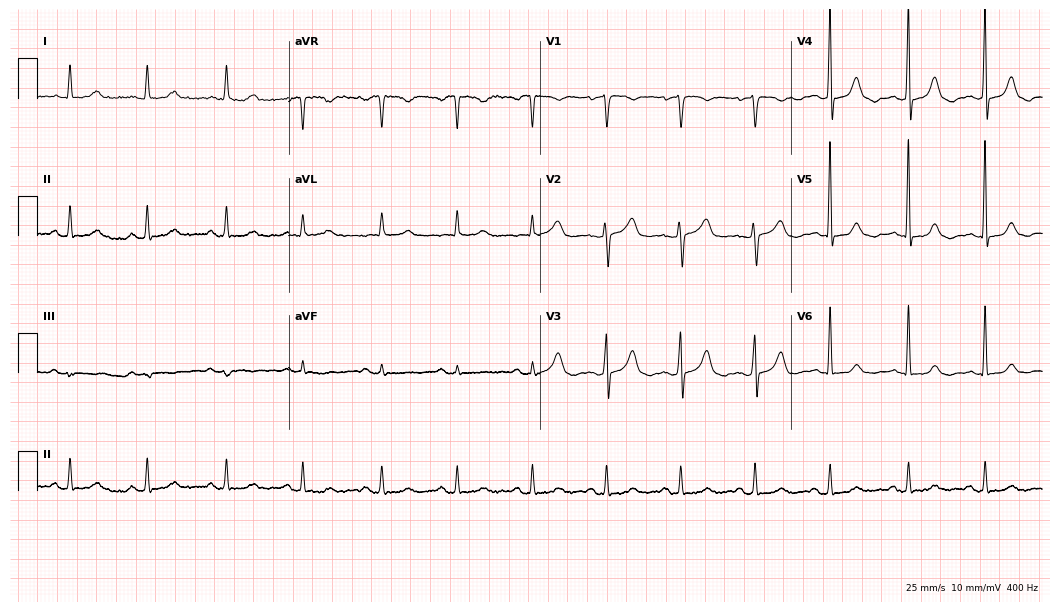
12-lead ECG (10.2-second recording at 400 Hz) from a female patient, 69 years old. Labelled as a normal ECG.